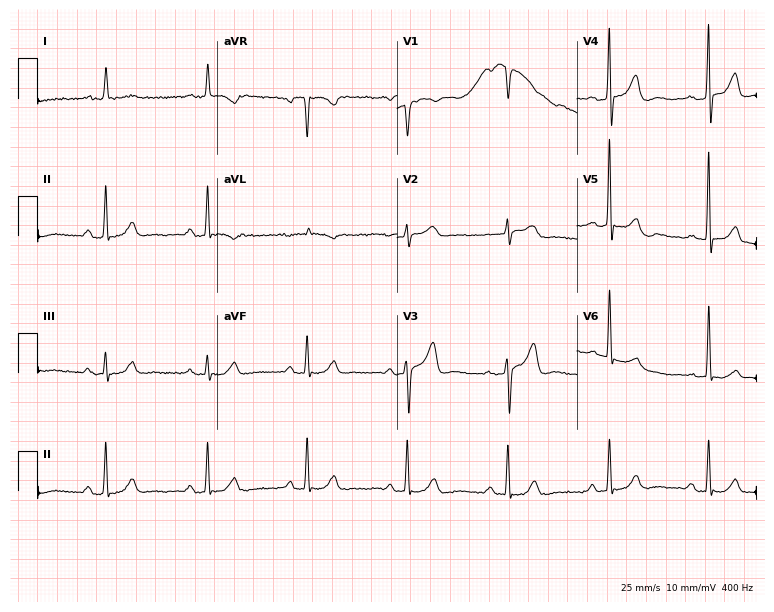
12-lead ECG from a 73-year-old man (7.3-second recording at 400 Hz). No first-degree AV block, right bundle branch block (RBBB), left bundle branch block (LBBB), sinus bradycardia, atrial fibrillation (AF) or sinus tachycardia recorded for this tracing.